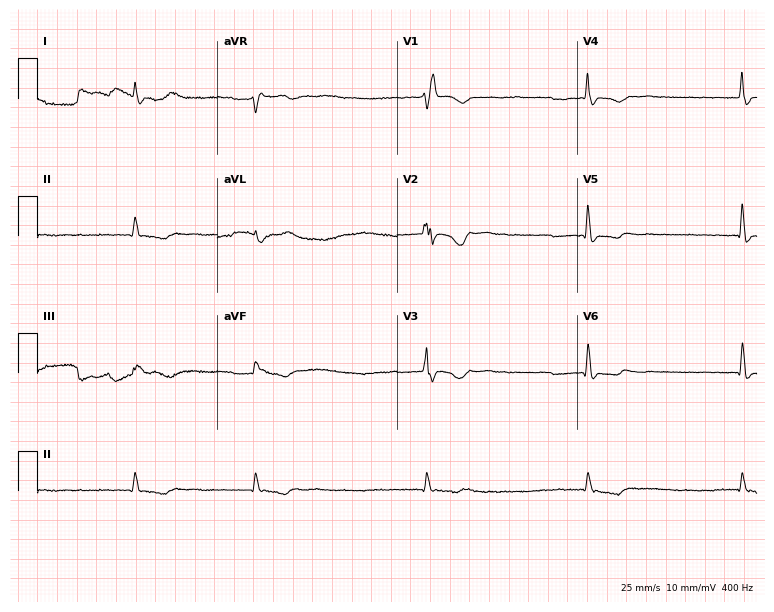
Standard 12-lead ECG recorded from an 85-year-old female patient. The tracing shows right bundle branch block.